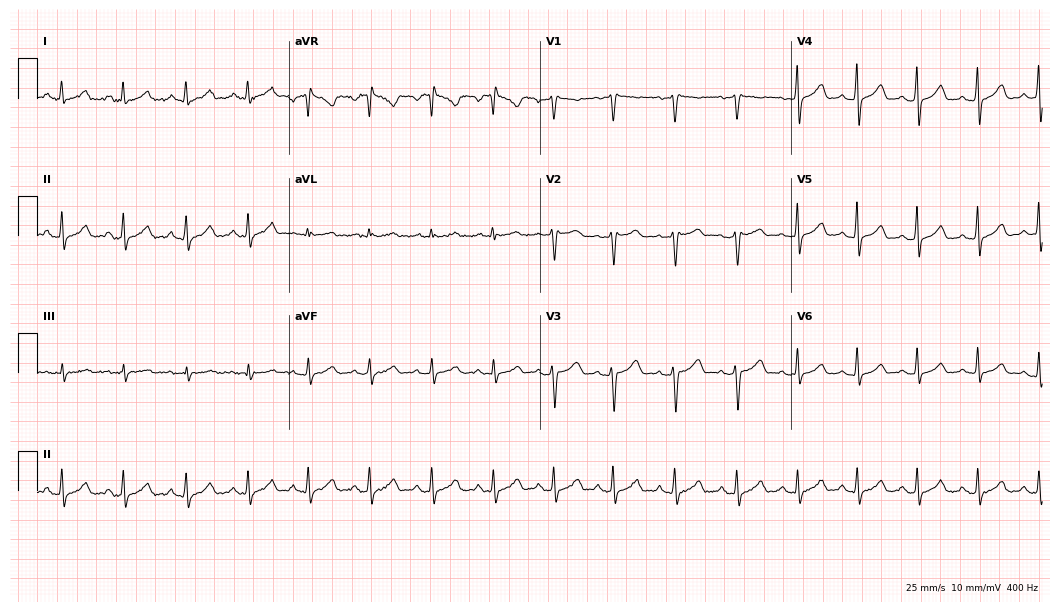
12-lead ECG from a 51-year-old female patient. Labelled as a normal ECG.